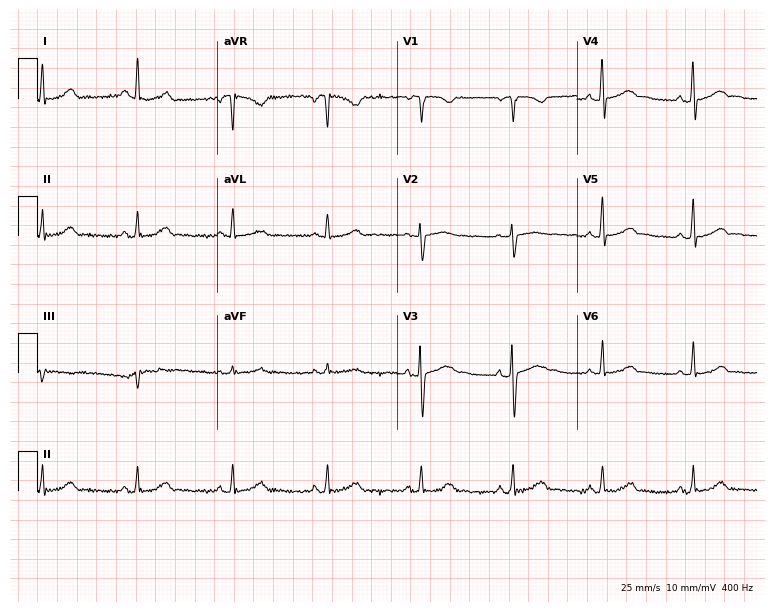
Standard 12-lead ECG recorded from a male patient, 51 years old (7.3-second recording at 400 Hz). Read as a normal ECG.